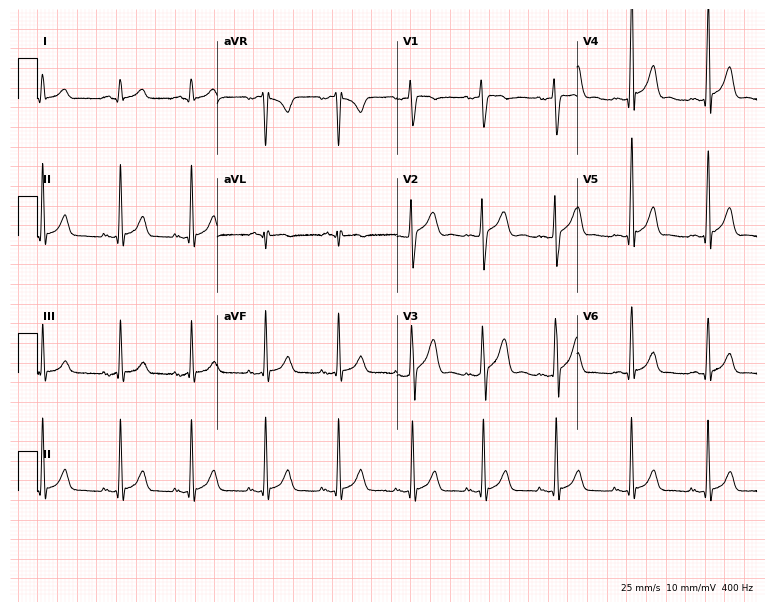
12-lead ECG from an 18-year-old male patient. Labelled as a normal ECG.